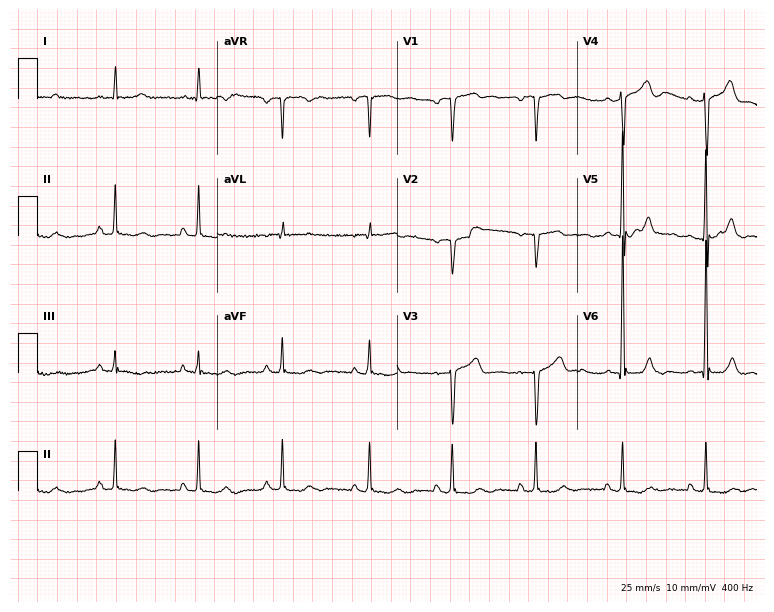
ECG — a 69-year-old man. Screened for six findings — first-degree AV block, right bundle branch block, left bundle branch block, sinus bradycardia, atrial fibrillation, sinus tachycardia — none is recorded. Other findings, if any, are not listed.